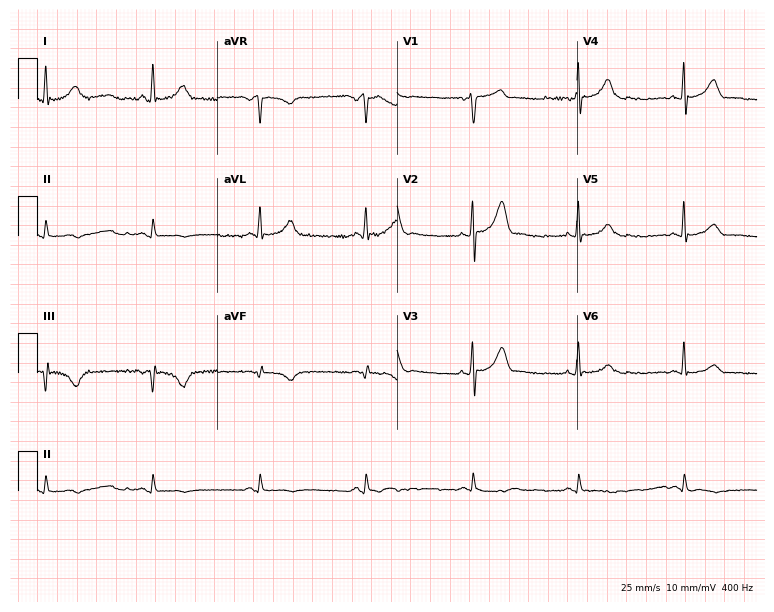
12-lead ECG from a male patient, 61 years old (7.3-second recording at 400 Hz). No first-degree AV block, right bundle branch block, left bundle branch block, sinus bradycardia, atrial fibrillation or sinus tachycardia recorded for this tracing.